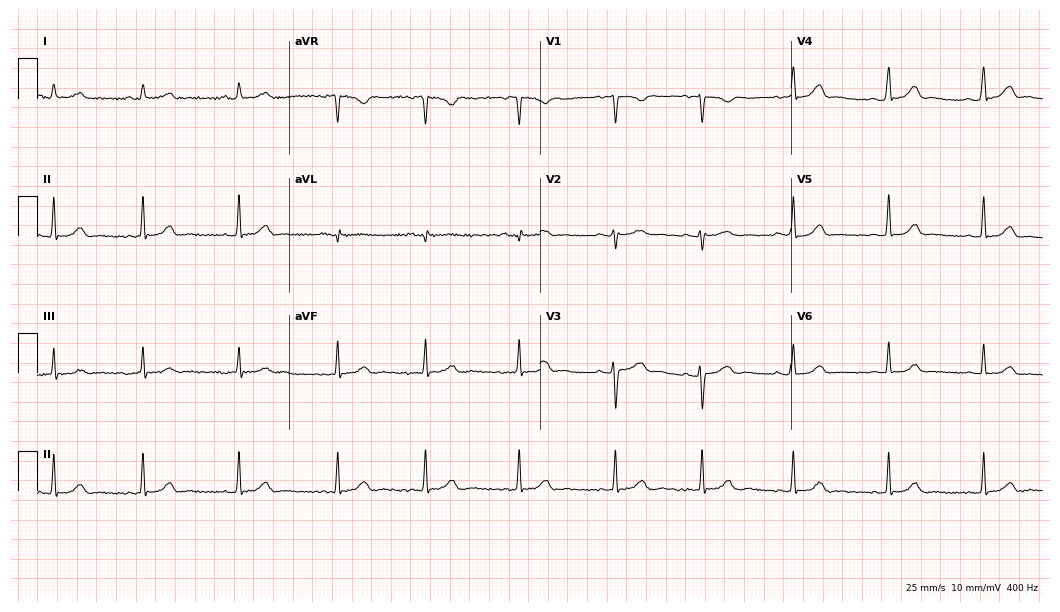
12-lead ECG from a female patient, 22 years old (10.2-second recording at 400 Hz). Recorded interpretation: within normal limits.